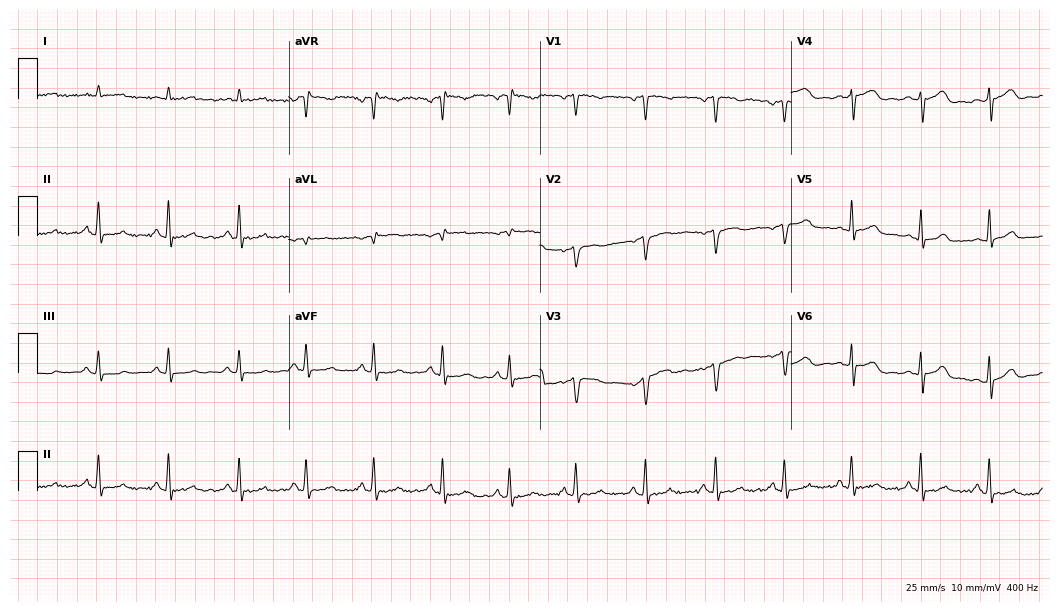
12-lead ECG from a 56-year-old male. Recorded interpretation: within normal limits.